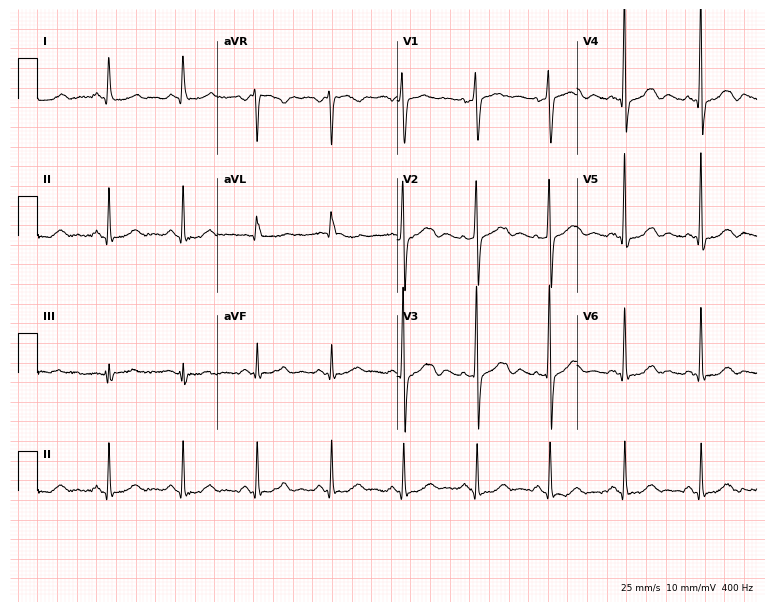
12-lead ECG from a 46-year-old female. Recorded interpretation: within normal limits.